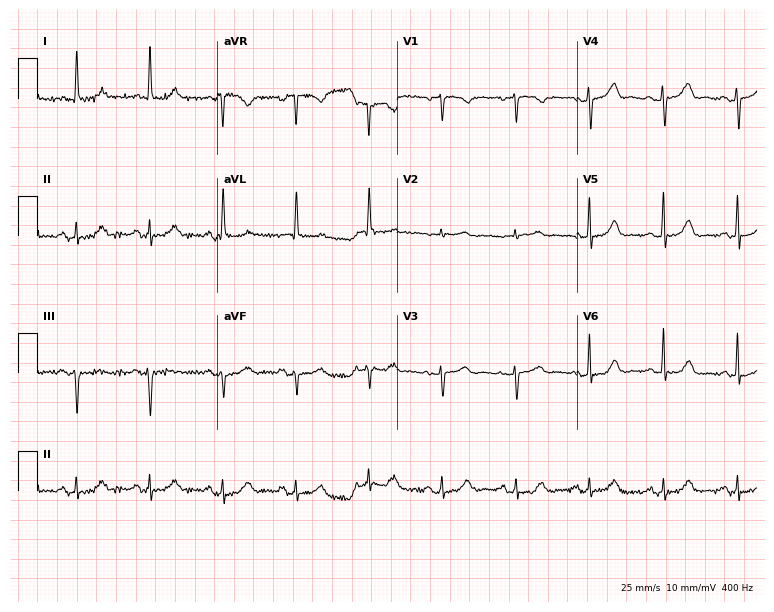
12-lead ECG (7.3-second recording at 400 Hz) from a 77-year-old female. Labelled as a normal ECG.